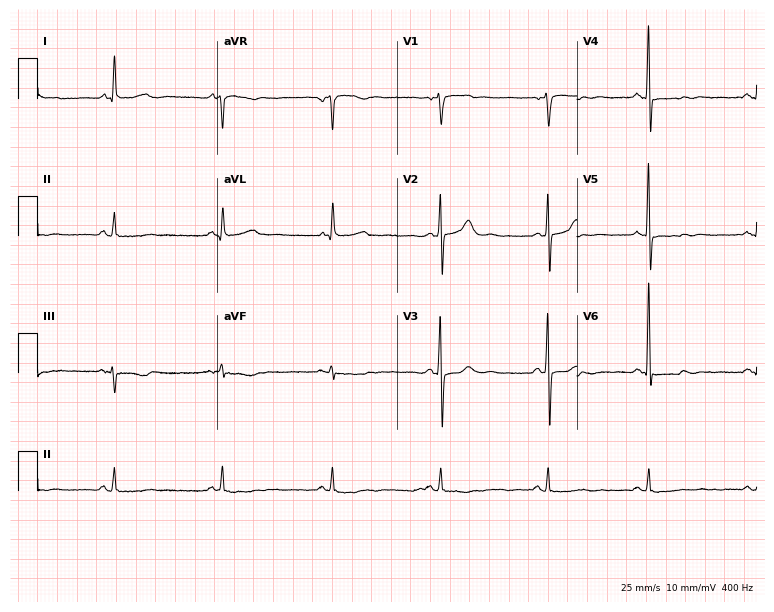
12-lead ECG from a male patient, 76 years old. Labelled as a normal ECG.